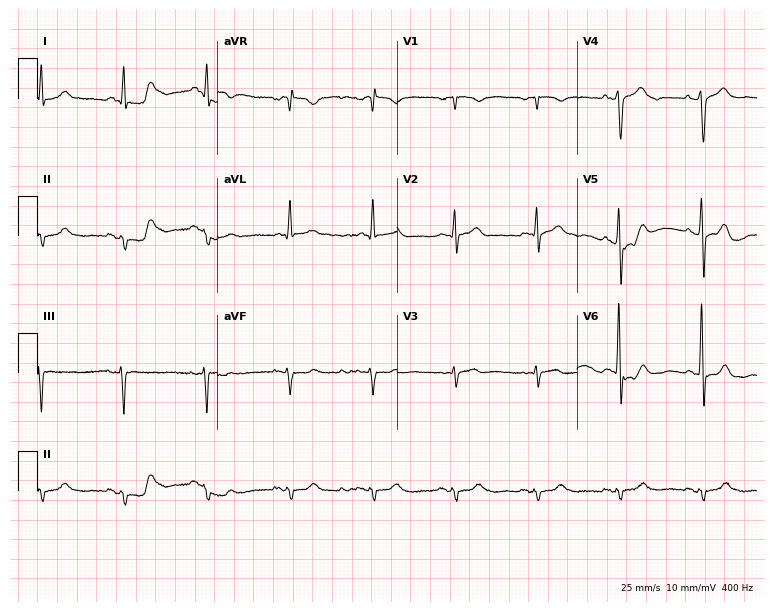
12-lead ECG (7.3-second recording at 400 Hz) from a male, 77 years old. Screened for six findings — first-degree AV block, right bundle branch block, left bundle branch block, sinus bradycardia, atrial fibrillation, sinus tachycardia — none is recorded. Only these six findings were labelled.